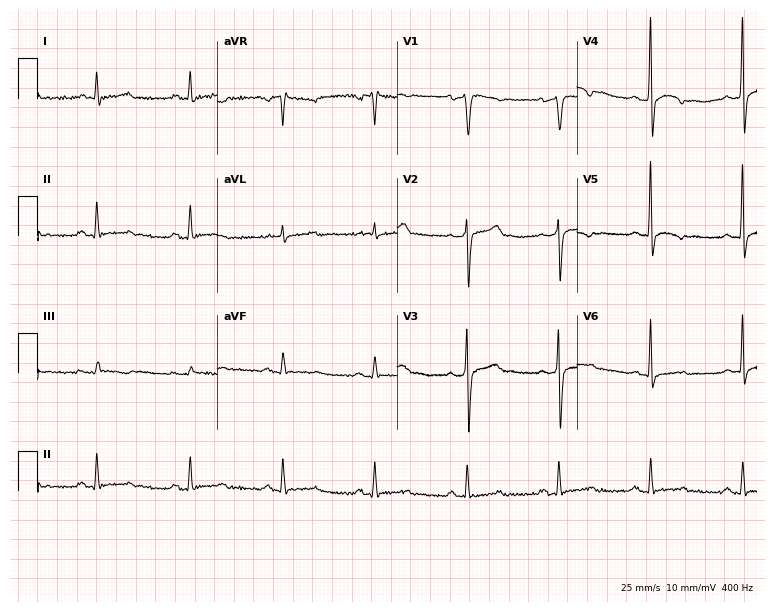
Electrocardiogram (7.3-second recording at 400 Hz), a male, 61 years old. Of the six screened findings (first-degree AV block, right bundle branch block, left bundle branch block, sinus bradycardia, atrial fibrillation, sinus tachycardia), none is recorded. Other findings, if any, are not listed.